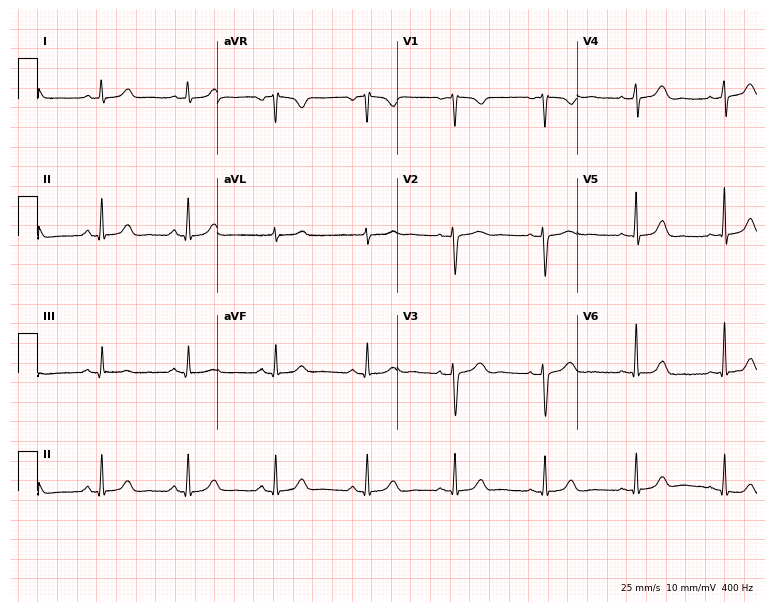
Resting 12-lead electrocardiogram. Patient: a 49-year-old woman. Read as a normal ECG.